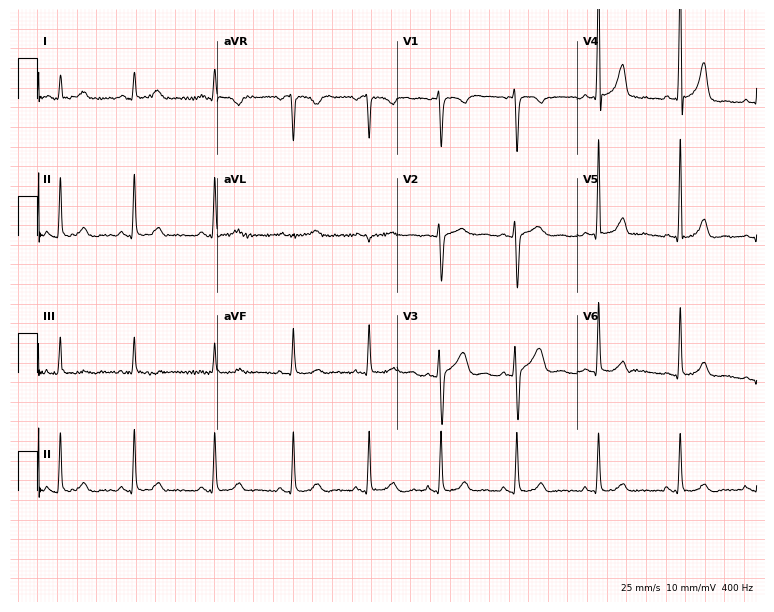
12-lead ECG (7.3-second recording at 400 Hz) from a 29-year-old female. Screened for six findings — first-degree AV block, right bundle branch block (RBBB), left bundle branch block (LBBB), sinus bradycardia, atrial fibrillation (AF), sinus tachycardia — none is recorded.